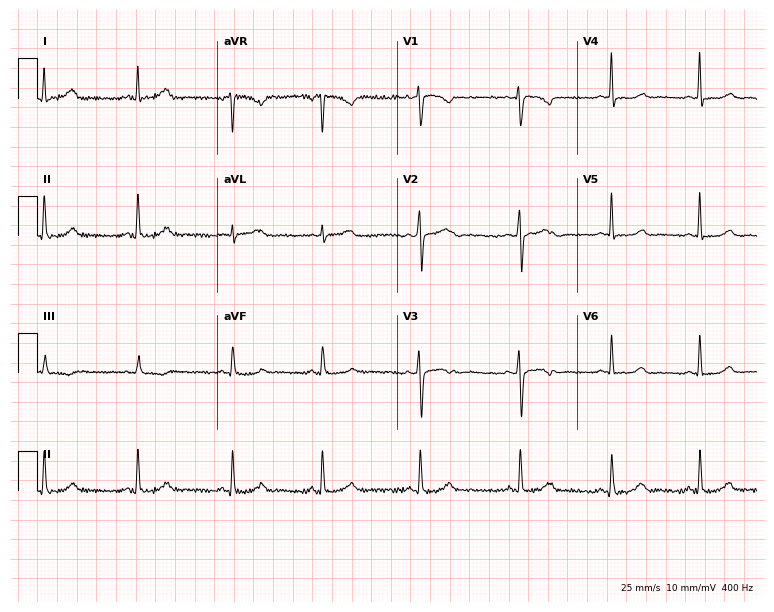
Standard 12-lead ECG recorded from a 30-year-old female (7.3-second recording at 400 Hz). Read as a normal ECG.